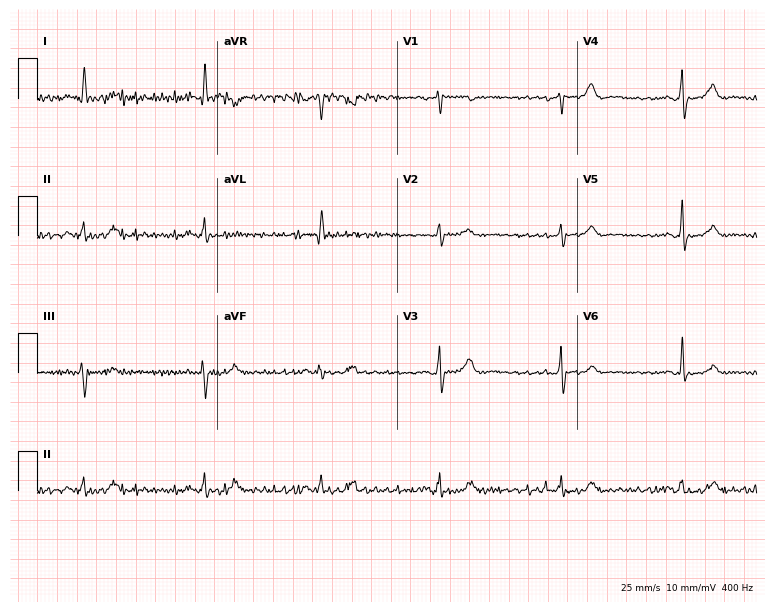
ECG (7.3-second recording at 400 Hz) — a 72-year-old female patient. Screened for six findings — first-degree AV block, right bundle branch block, left bundle branch block, sinus bradycardia, atrial fibrillation, sinus tachycardia — none is recorded. Other findings, if any, are not listed.